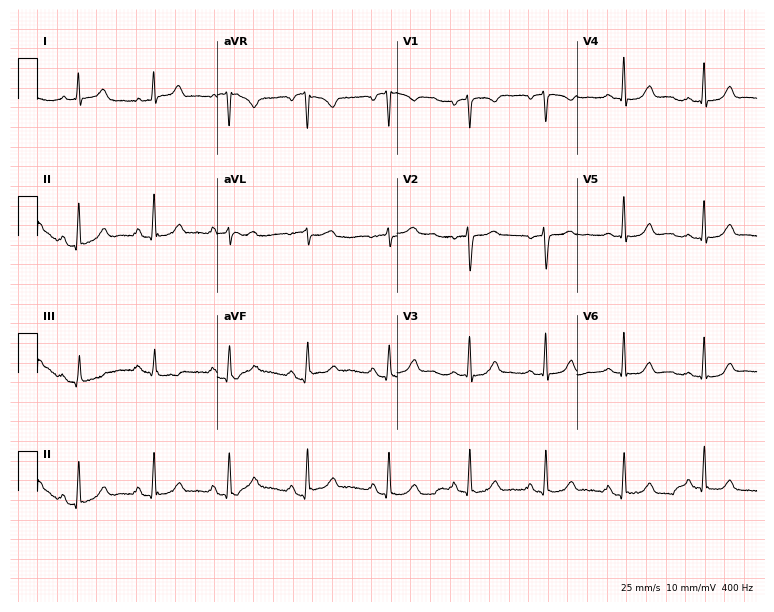
ECG (7.3-second recording at 400 Hz) — a 32-year-old woman. Screened for six findings — first-degree AV block, right bundle branch block, left bundle branch block, sinus bradycardia, atrial fibrillation, sinus tachycardia — none is recorded.